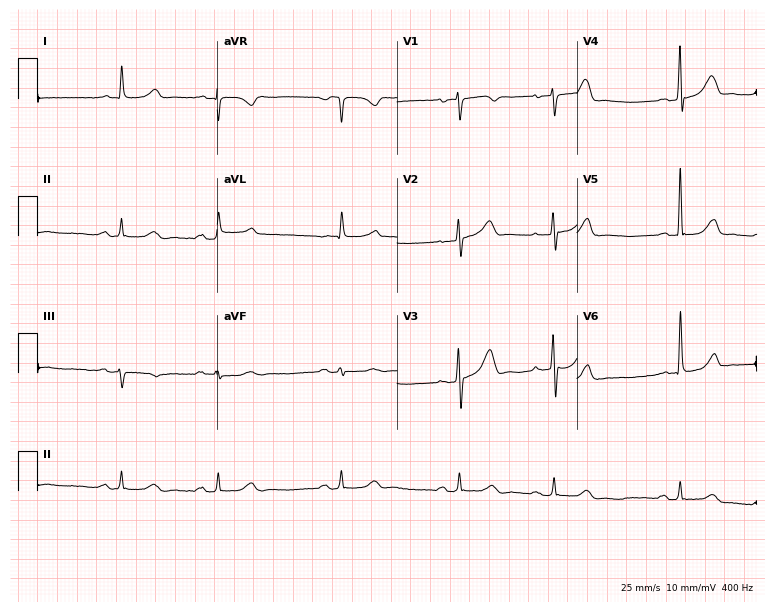
ECG — a 63-year-old woman. Screened for six findings — first-degree AV block, right bundle branch block, left bundle branch block, sinus bradycardia, atrial fibrillation, sinus tachycardia — none is recorded. Other findings, if any, are not listed.